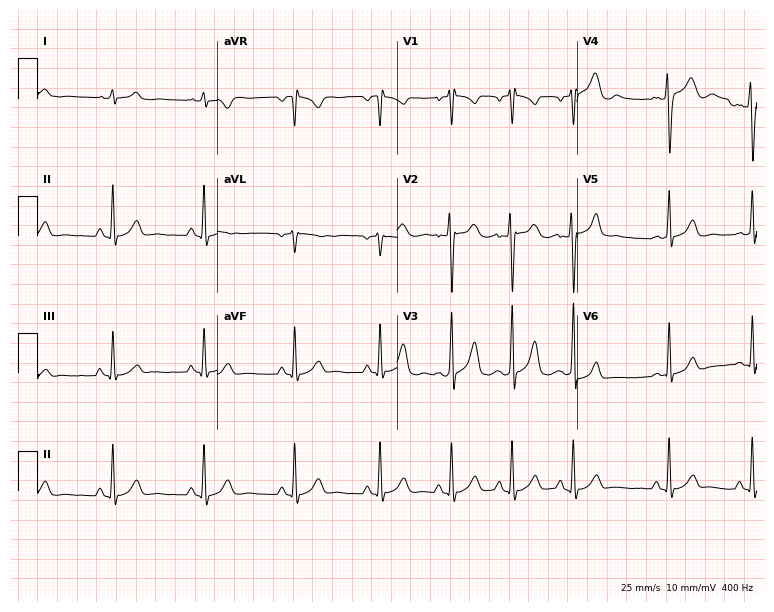
12-lead ECG from a 19-year-old man. Screened for six findings — first-degree AV block, right bundle branch block, left bundle branch block, sinus bradycardia, atrial fibrillation, sinus tachycardia — none is recorded.